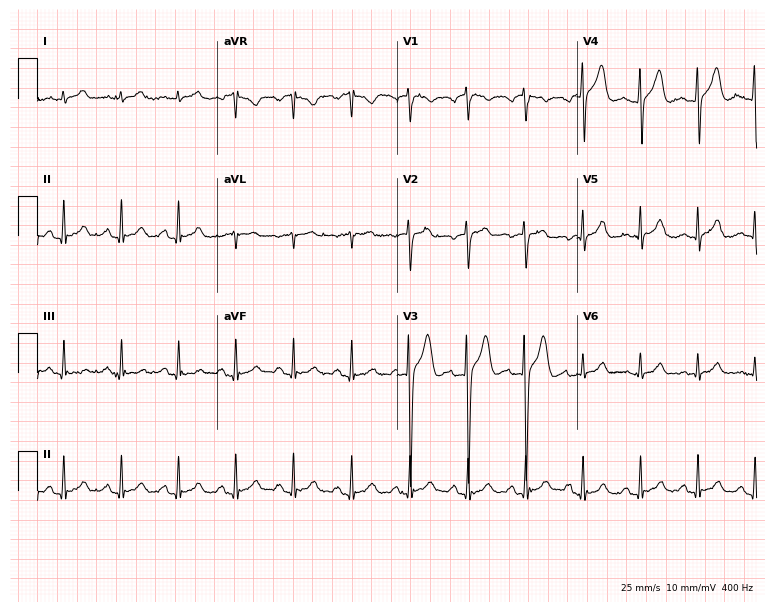
12-lead ECG (7.3-second recording at 400 Hz) from a male patient, 44 years old. Labelled as a normal ECG.